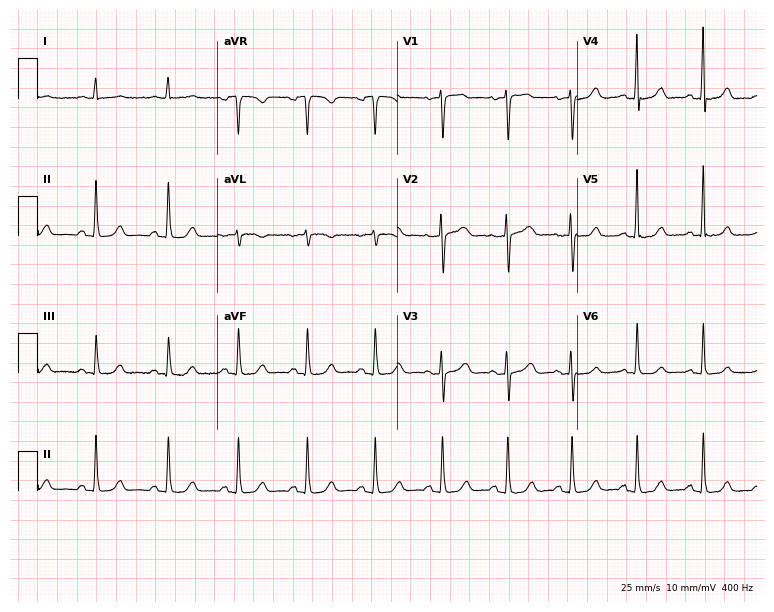
12-lead ECG from an 82-year-old woman (7.3-second recording at 400 Hz). Recorded interpretation: within normal limits.